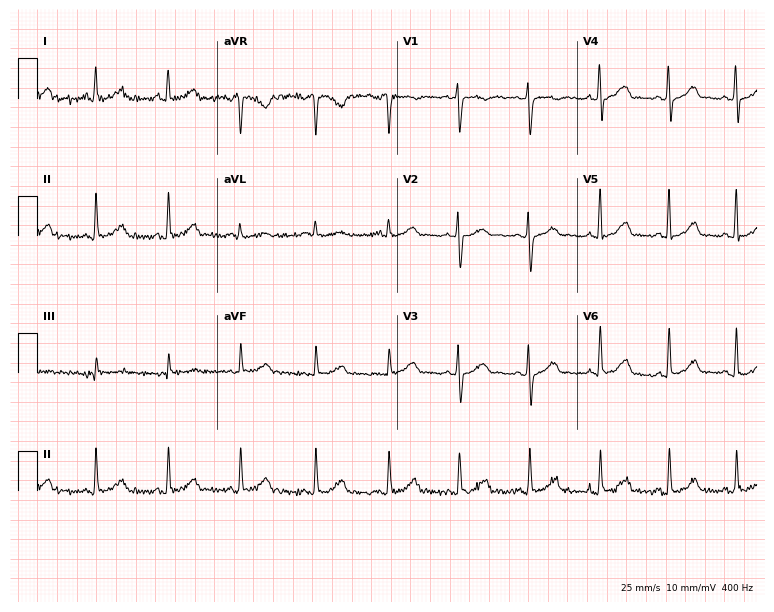
12-lead ECG (7.3-second recording at 400 Hz) from a 29-year-old male. Labelled as a normal ECG.